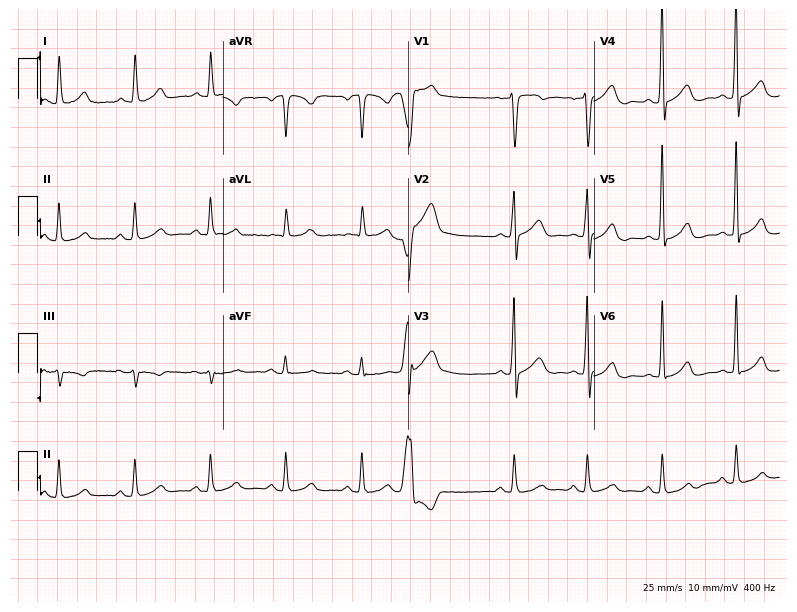
Standard 12-lead ECG recorded from a male patient, 73 years old (7.6-second recording at 400 Hz). None of these six findings is recorded: first-degree AV block, right bundle branch block, left bundle branch block, sinus bradycardia, atrial fibrillation, sinus tachycardia. Other findings, if any, are not listed.